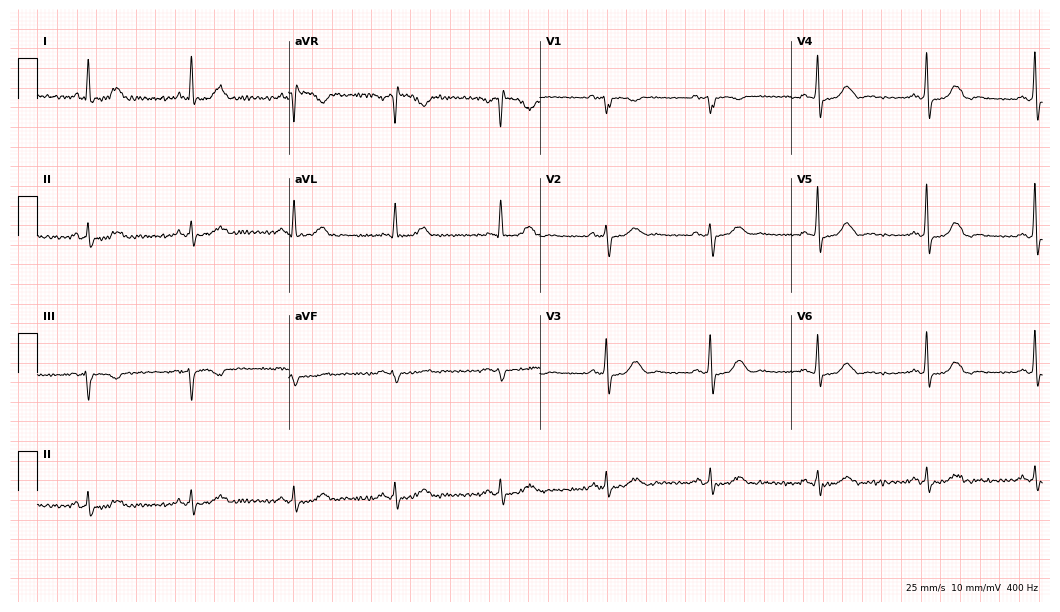
Standard 12-lead ECG recorded from a woman, 81 years old (10.2-second recording at 400 Hz). Read as a normal ECG.